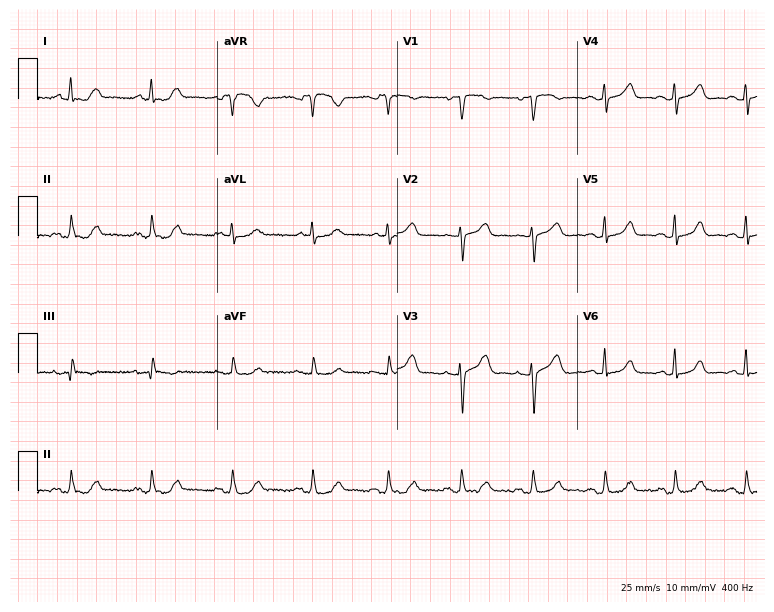
Standard 12-lead ECG recorded from a 54-year-old female (7.3-second recording at 400 Hz). Read as a normal ECG.